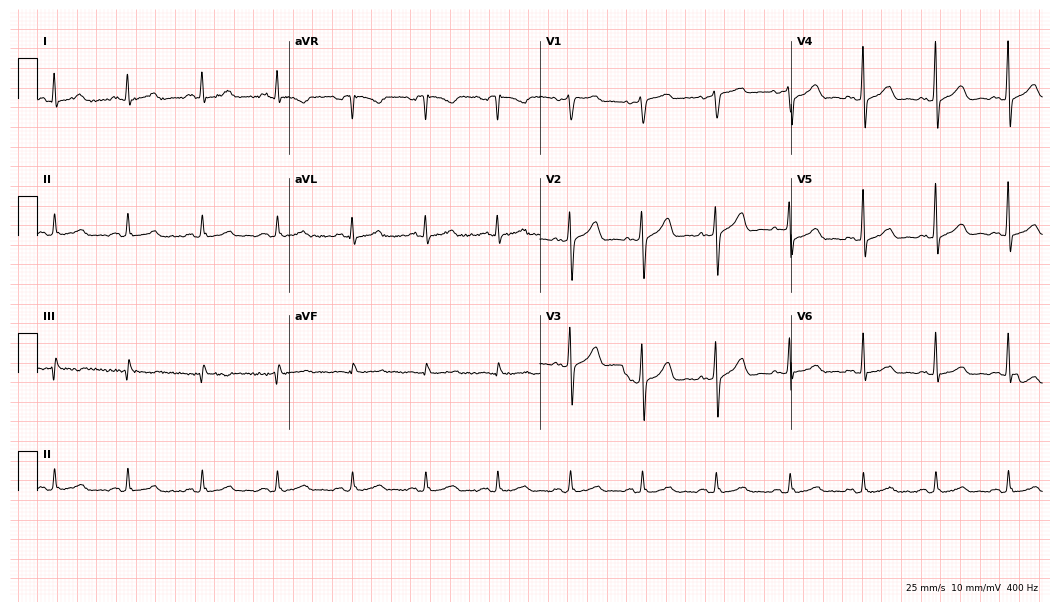
Electrocardiogram, a female, 61 years old. Overall reading on record: normal ECG.